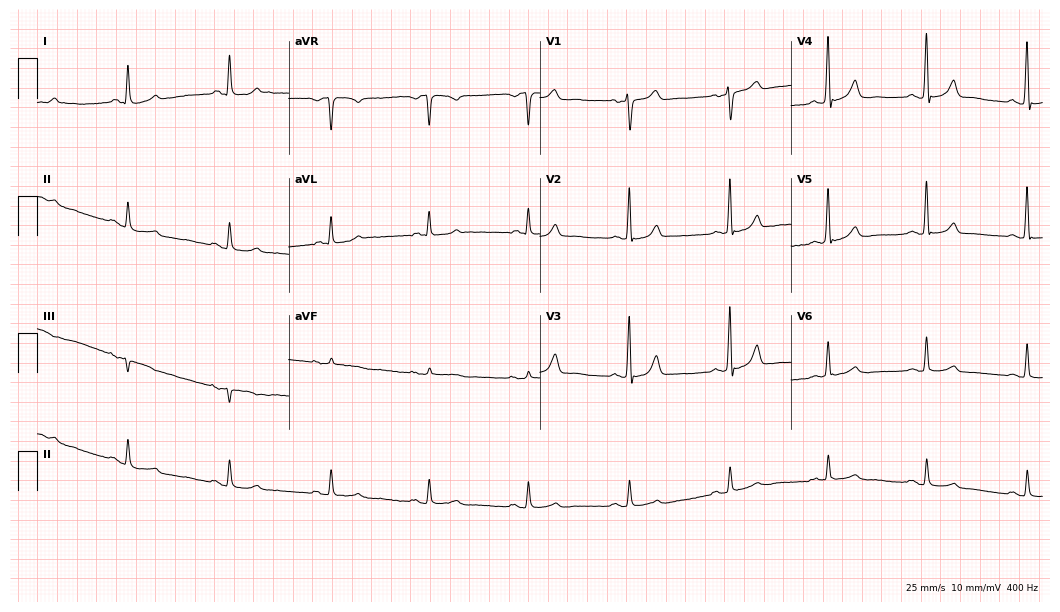
12-lead ECG from a male patient, 61 years old. Labelled as a normal ECG.